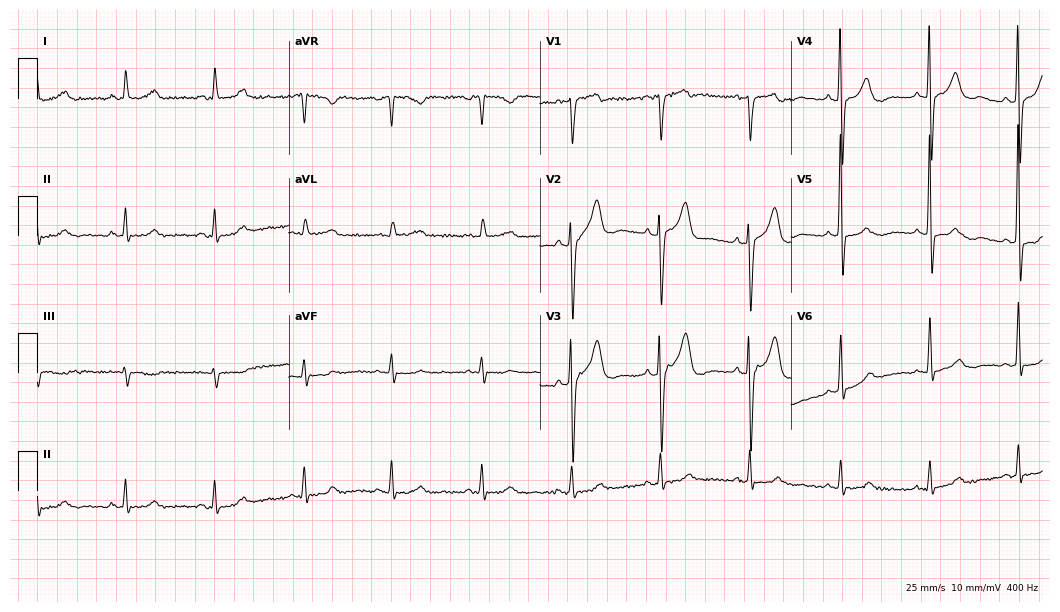
ECG (10.2-second recording at 400 Hz) — a woman, 82 years old. Screened for six findings — first-degree AV block, right bundle branch block (RBBB), left bundle branch block (LBBB), sinus bradycardia, atrial fibrillation (AF), sinus tachycardia — none is recorded.